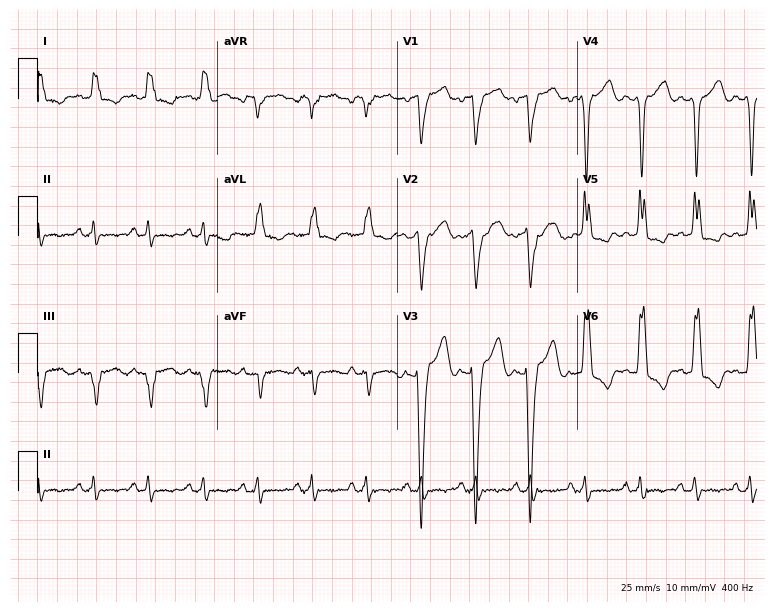
12-lead ECG from a female, 55 years old (7.3-second recording at 400 Hz). Shows left bundle branch block, sinus tachycardia (a sinus rate of 100 beats per minute or more).